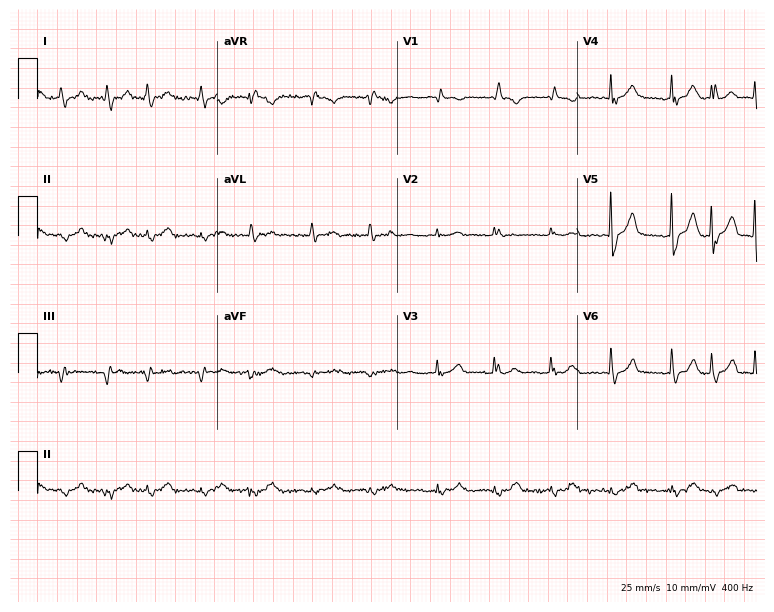
Standard 12-lead ECG recorded from a 79-year-old female. None of these six findings is recorded: first-degree AV block, right bundle branch block (RBBB), left bundle branch block (LBBB), sinus bradycardia, atrial fibrillation (AF), sinus tachycardia. Only these six findings were labelled.